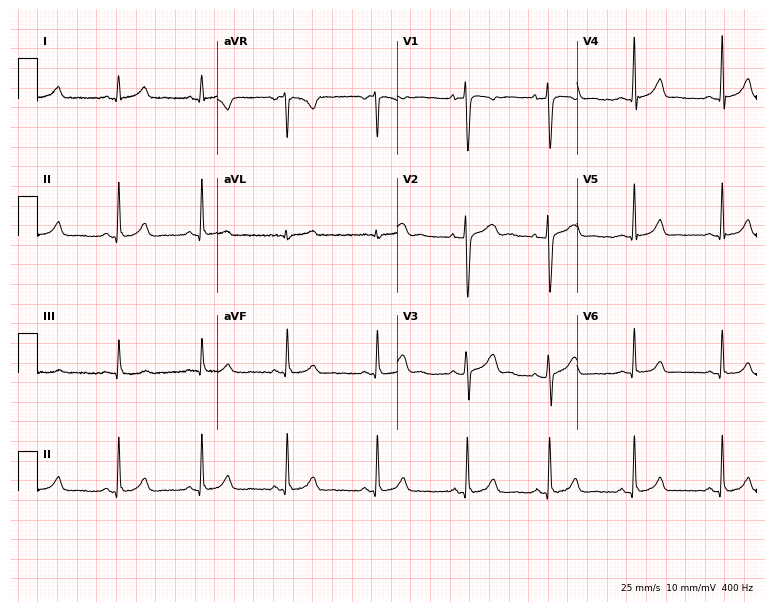
12-lead ECG from a 23-year-old female. Labelled as a normal ECG.